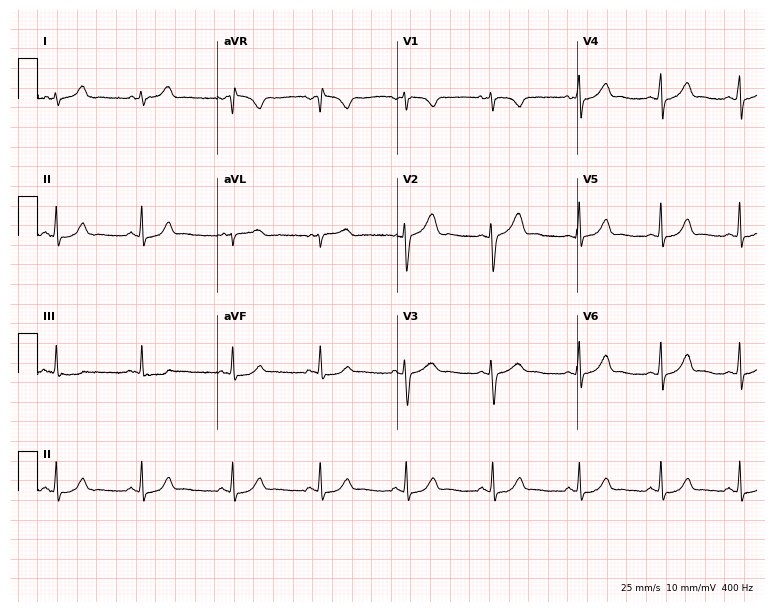
12-lead ECG (7.3-second recording at 400 Hz) from a 27-year-old female. Screened for six findings — first-degree AV block, right bundle branch block, left bundle branch block, sinus bradycardia, atrial fibrillation, sinus tachycardia — none is recorded. Only these six findings were labelled.